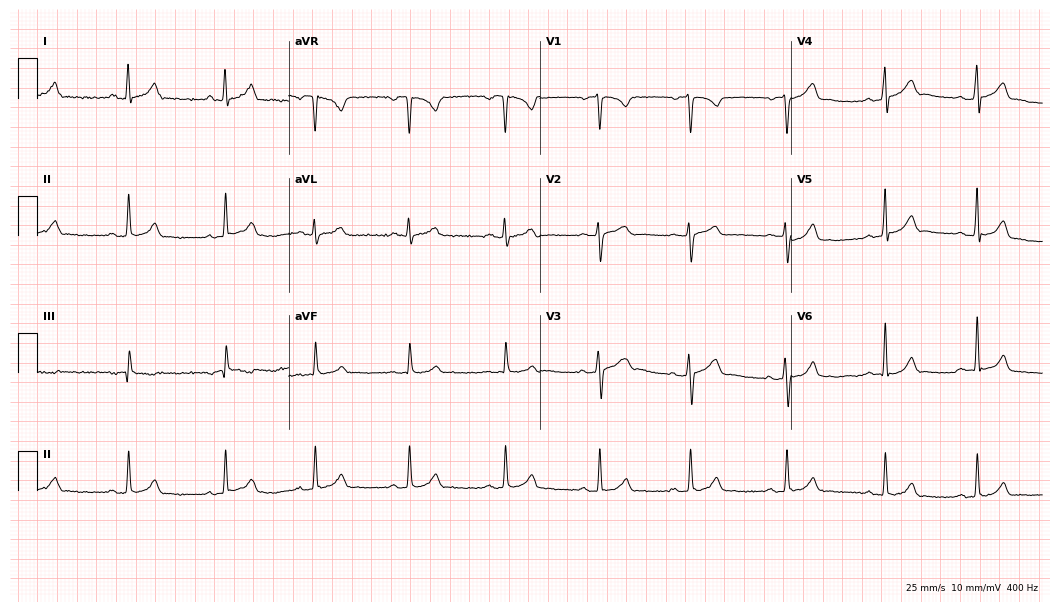
12-lead ECG from a 23-year-old male. Labelled as a normal ECG.